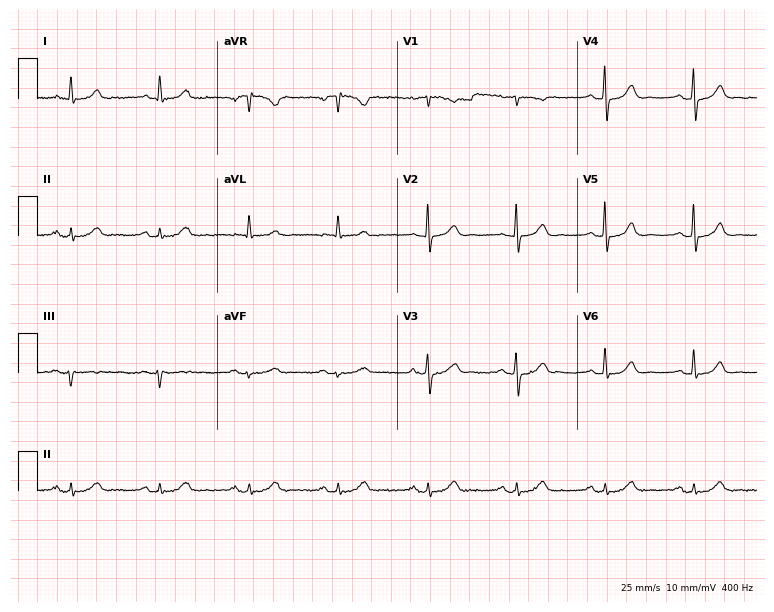
12-lead ECG from a female, 66 years old. Labelled as a normal ECG.